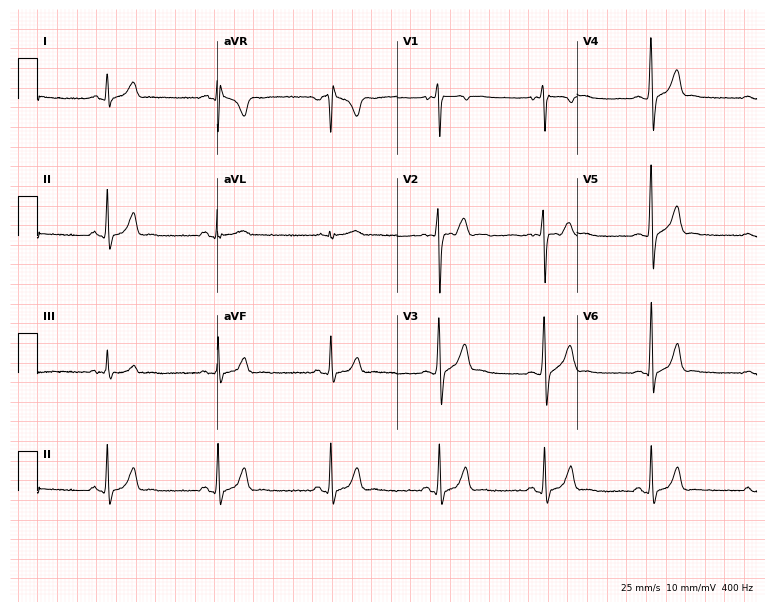
12-lead ECG from a male, 18 years old. Recorded interpretation: within normal limits.